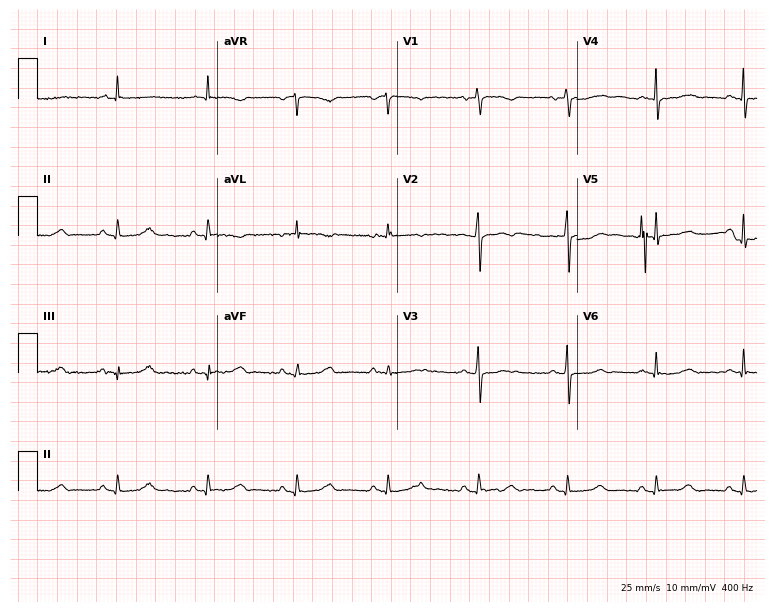
Standard 12-lead ECG recorded from a female patient, 67 years old. None of these six findings is recorded: first-degree AV block, right bundle branch block, left bundle branch block, sinus bradycardia, atrial fibrillation, sinus tachycardia. Other findings, if any, are not listed.